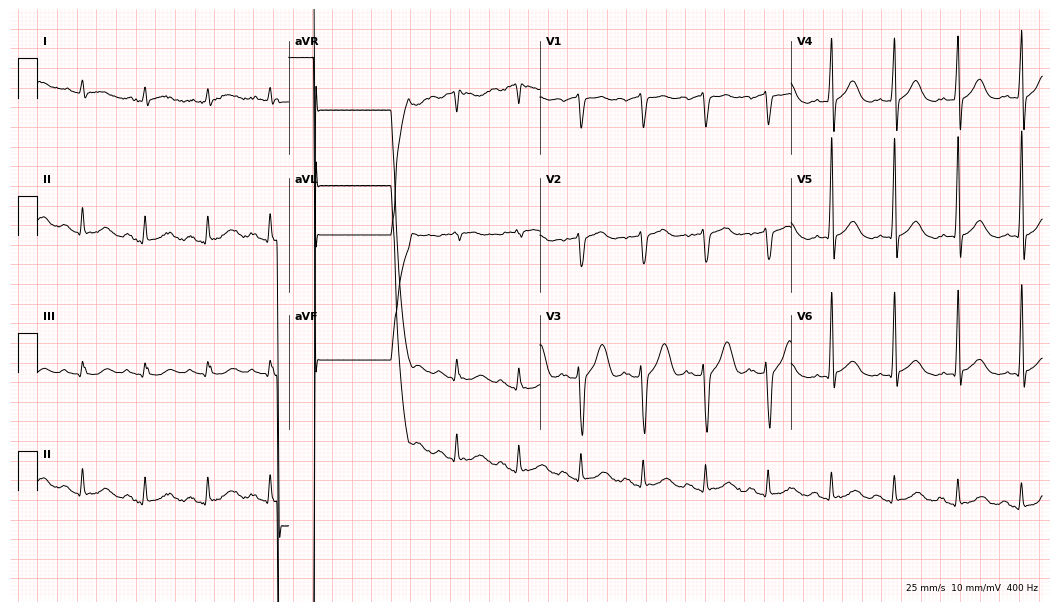
12-lead ECG from a male, 49 years old. Recorded interpretation: within normal limits.